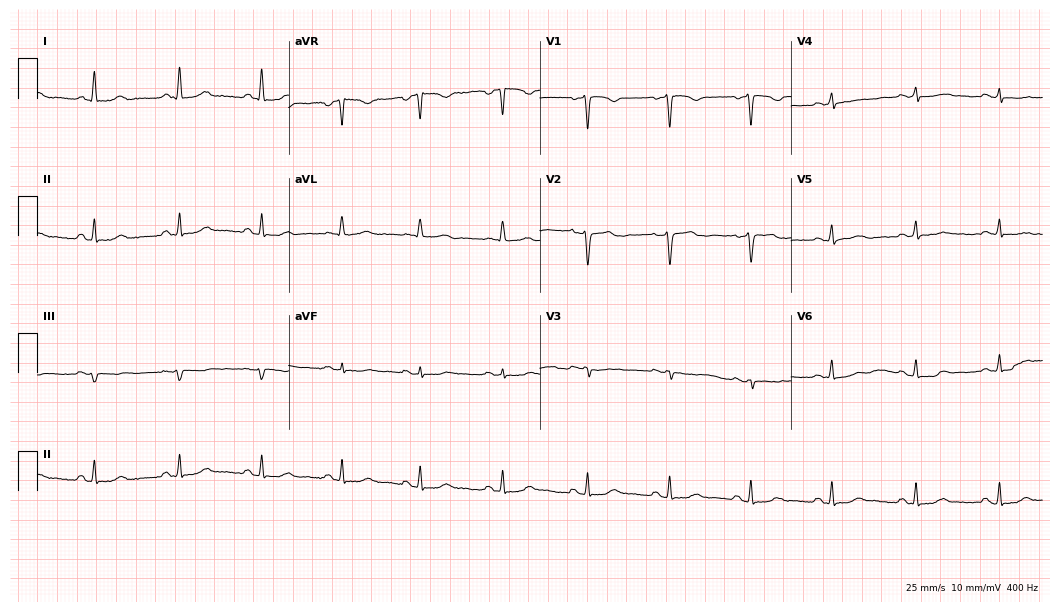
Standard 12-lead ECG recorded from a female patient, 52 years old (10.2-second recording at 400 Hz). None of these six findings is recorded: first-degree AV block, right bundle branch block (RBBB), left bundle branch block (LBBB), sinus bradycardia, atrial fibrillation (AF), sinus tachycardia. Other findings, if any, are not listed.